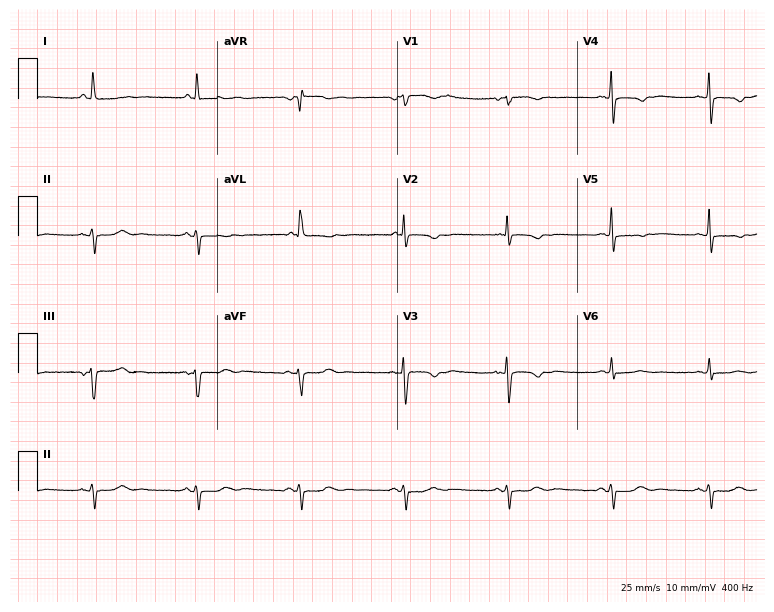
Standard 12-lead ECG recorded from a woman, 88 years old. Read as a normal ECG.